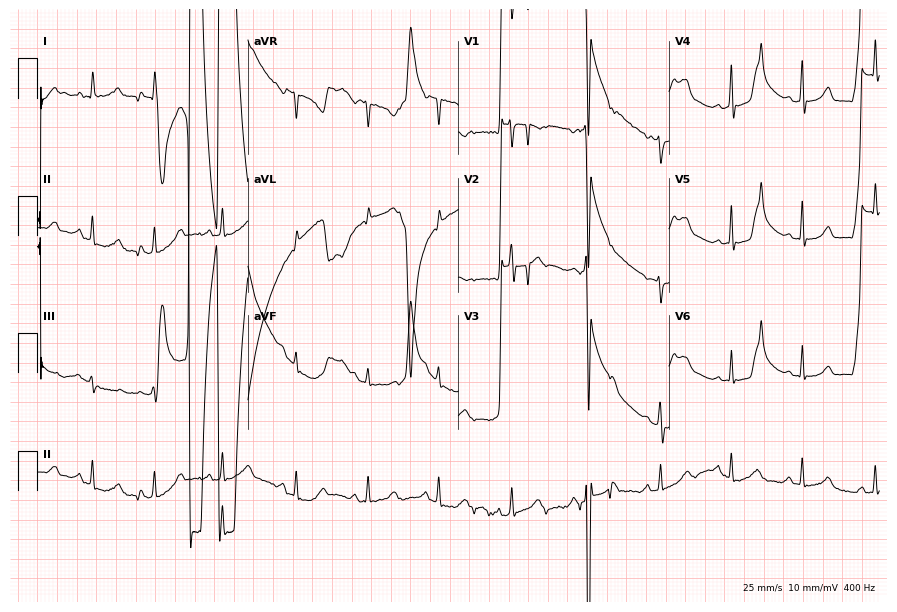
Resting 12-lead electrocardiogram. Patient: a woman, 22 years old. None of these six findings is recorded: first-degree AV block, right bundle branch block, left bundle branch block, sinus bradycardia, atrial fibrillation, sinus tachycardia. Only these six findings were labelled.